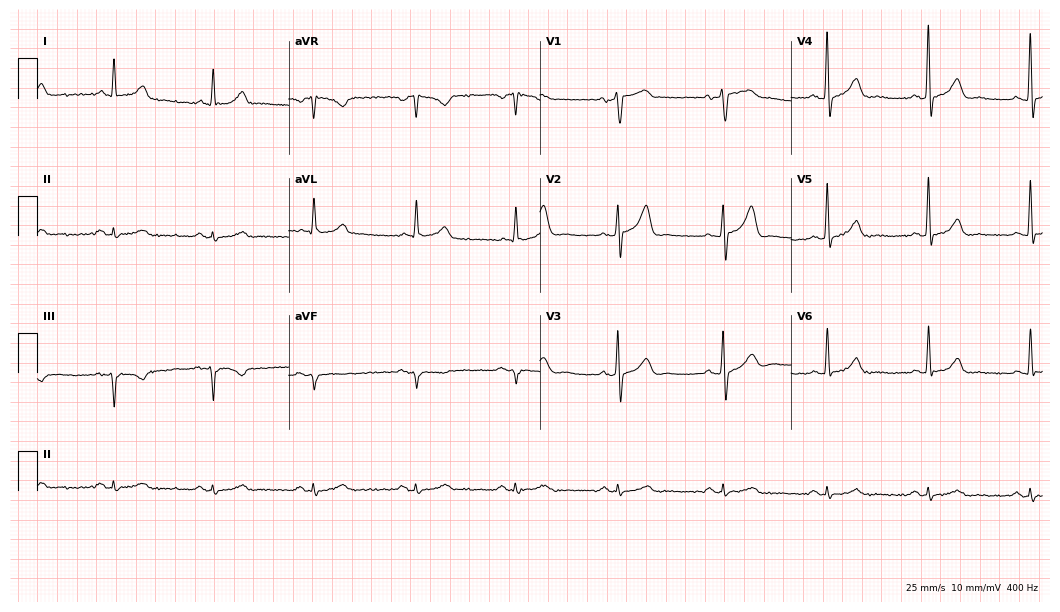
Standard 12-lead ECG recorded from a 71-year-old male (10.2-second recording at 400 Hz). None of these six findings is recorded: first-degree AV block, right bundle branch block (RBBB), left bundle branch block (LBBB), sinus bradycardia, atrial fibrillation (AF), sinus tachycardia. Only these six findings were labelled.